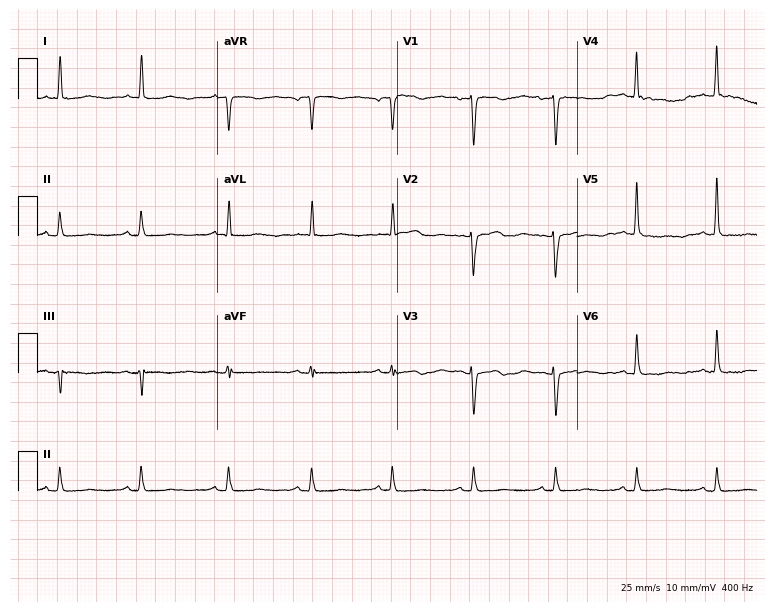
ECG — a female patient, 66 years old. Screened for six findings — first-degree AV block, right bundle branch block, left bundle branch block, sinus bradycardia, atrial fibrillation, sinus tachycardia — none is recorded. Findings outside these six are not listed.